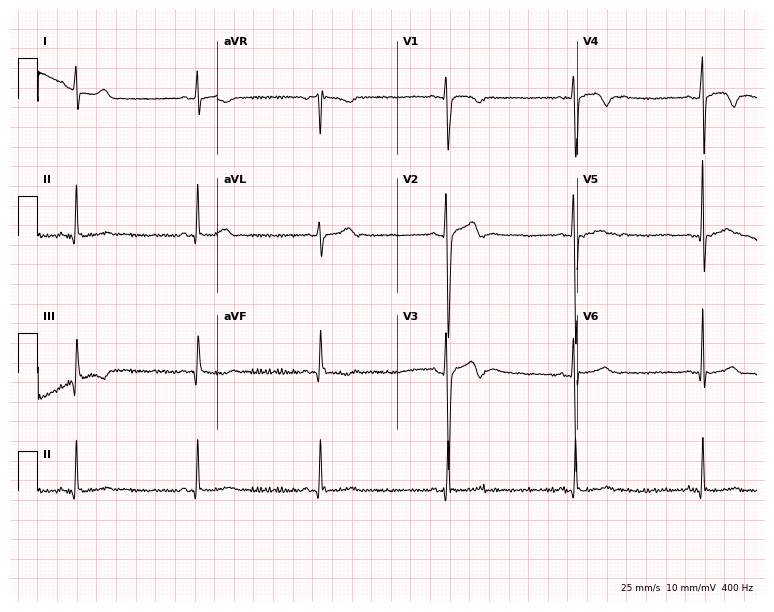
Electrocardiogram, a male, 19 years old. Interpretation includes sinus bradycardia (a sinus rate of 50 beats per minute or less).